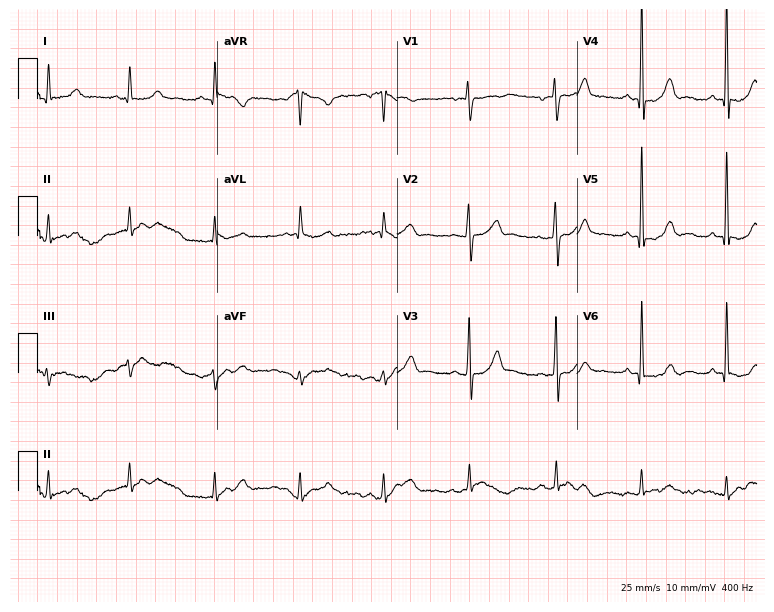
12-lead ECG from a female patient, 68 years old. No first-degree AV block, right bundle branch block, left bundle branch block, sinus bradycardia, atrial fibrillation or sinus tachycardia recorded for this tracing.